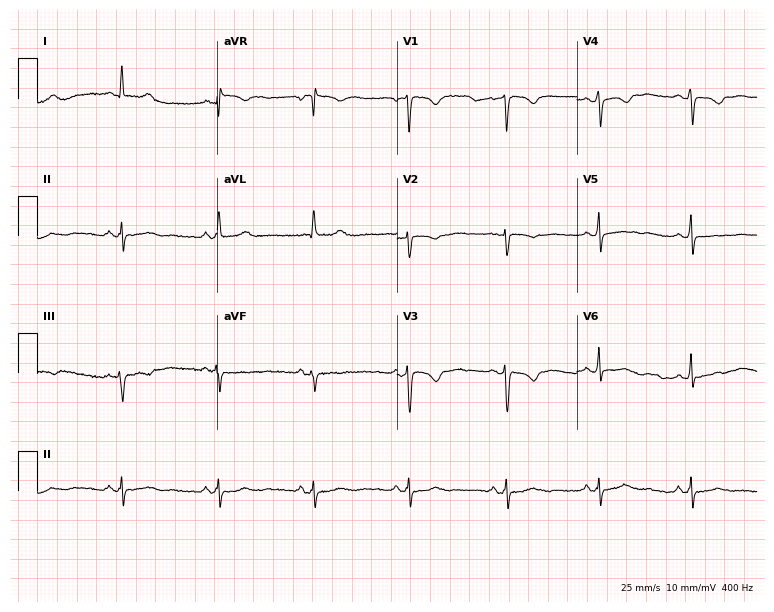
12-lead ECG from a female patient, 40 years old. Screened for six findings — first-degree AV block, right bundle branch block, left bundle branch block, sinus bradycardia, atrial fibrillation, sinus tachycardia — none is recorded.